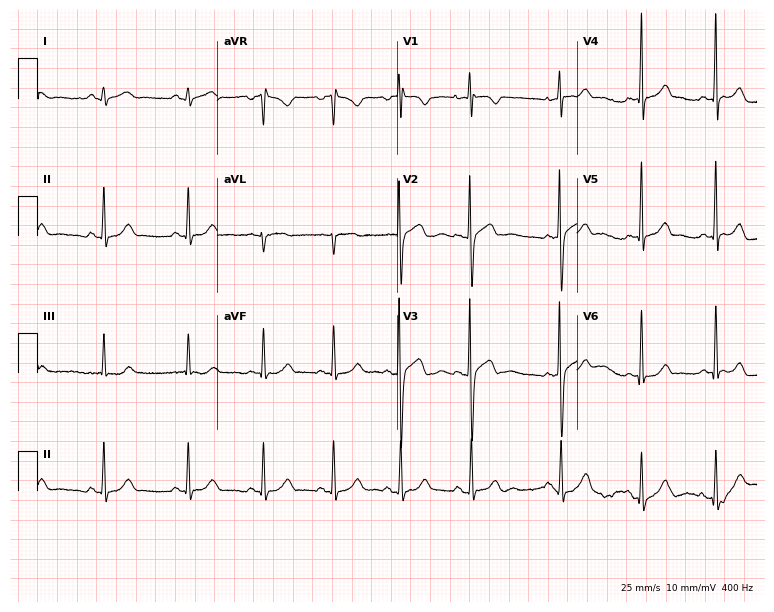
Resting 12-lead electrocardiogram. Patient: a 19-year-old woman. None of these six findings is recorded: first-degree AV block, right bundle branch block (RBBB), left bundle branch block (LBBB), sinus bradycardia, atrial fibrillation (AF), sinus tachycardia. Only these six findings were labelled.